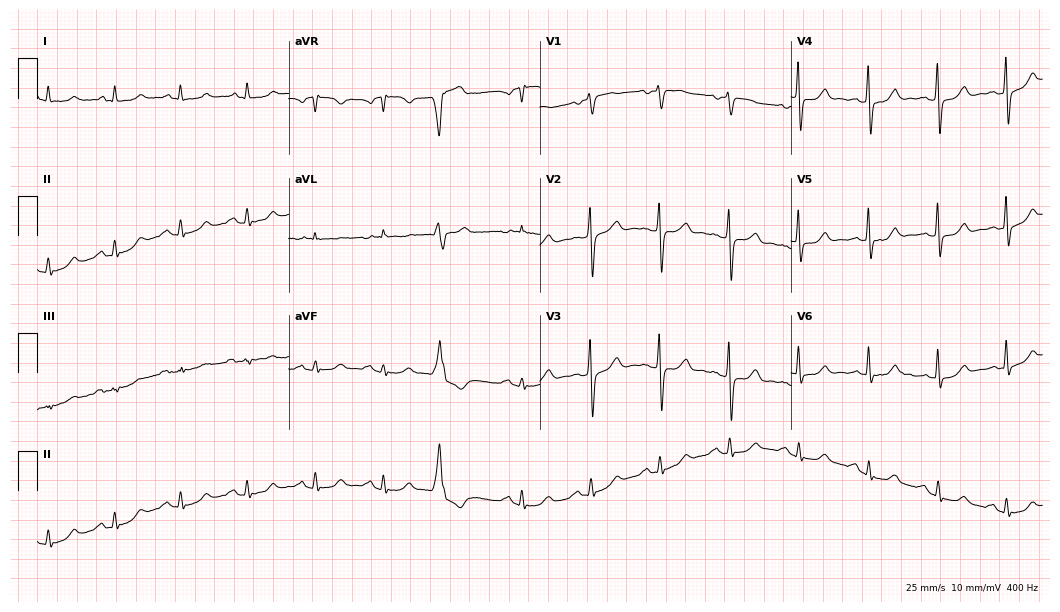
Electrocardiogram, a man, 80 years old. Of the six screened findings (first-degree AV block, right bundle branch block, left bundle branch block, sinus bradycardia, atrial fibrillation, sinus tachycardia), none is recorded.